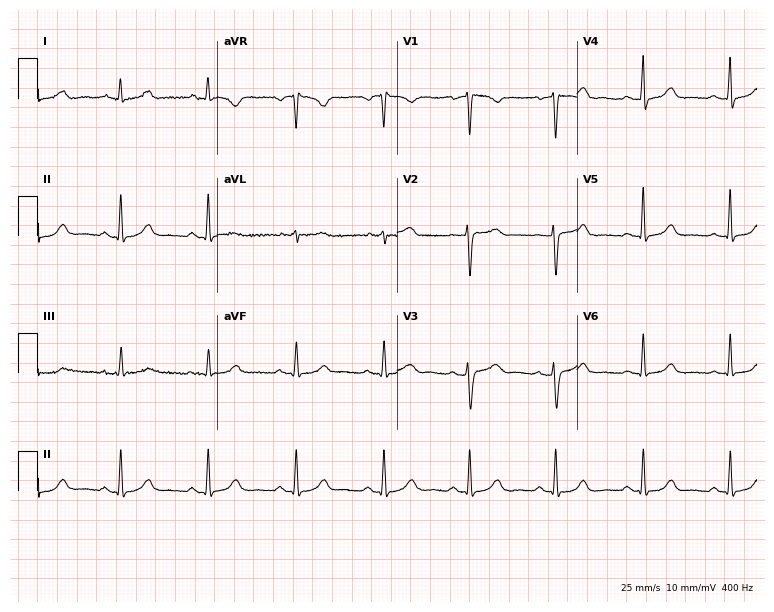
Resting 12-lead electrocardiogram (7.3-second recording at 400 Hz). Patient: a 58-year-old female. None of these six findings is recorded: first-degree AV block, right bundle branch block, left bundle branch block, sinus bradycardia, atrial fibrillation, sinus tachycardia.